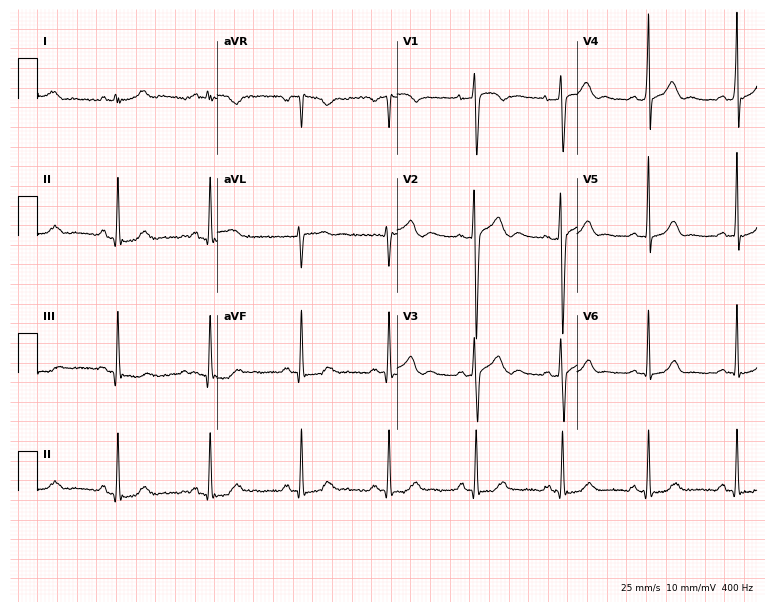
Standard 12-lead ECG recorded from a man, 27 years old (7.3-second recording at 400 Hz). Read as a normal ECG.